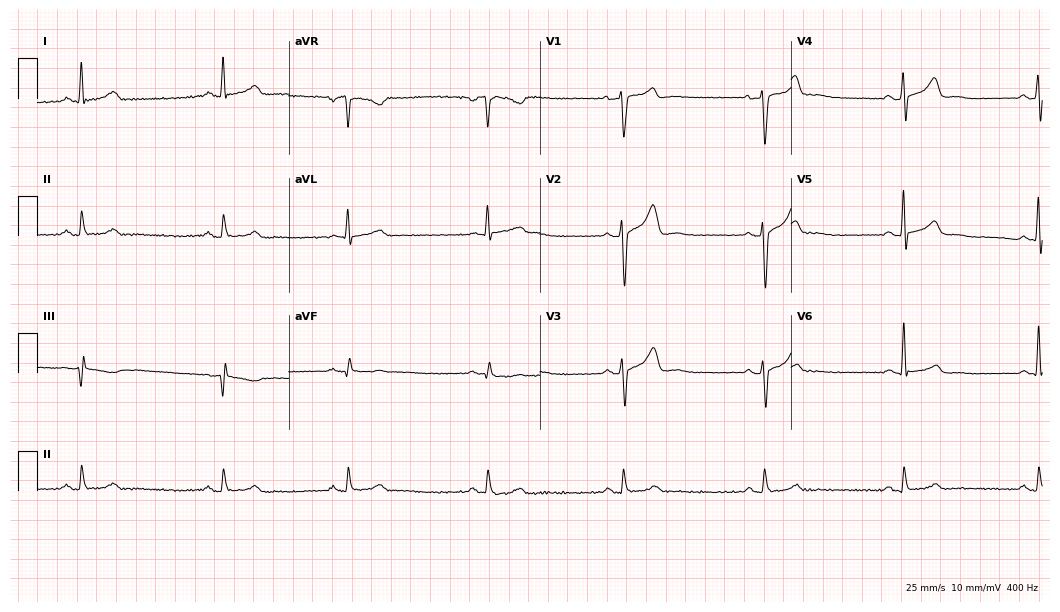
ECG (10.2-second recording at 400 Hz) — a male, 59 years old. Findings include sinus bradycardia (a sinus rate of 50 beats per minute or less).